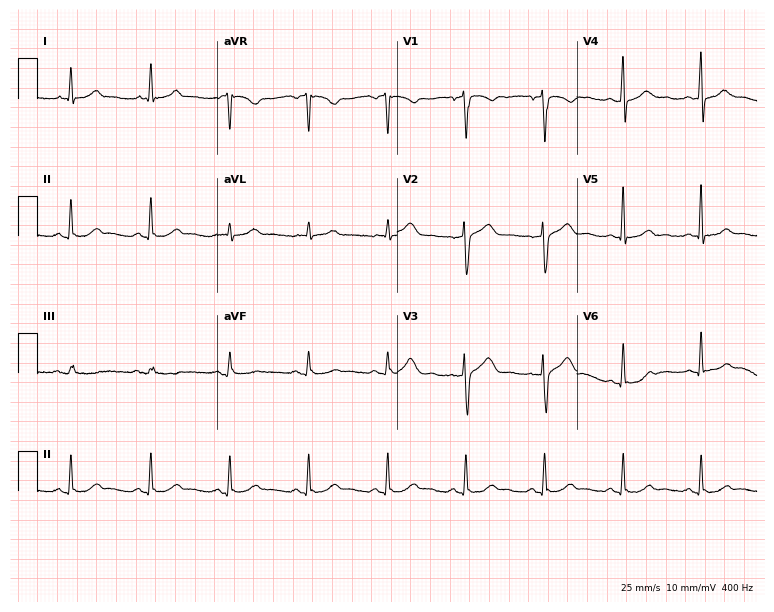
ECG (7.3-second recording at 400 Hz) — a male patient, 66 years old. Labelled as a normal ECG.